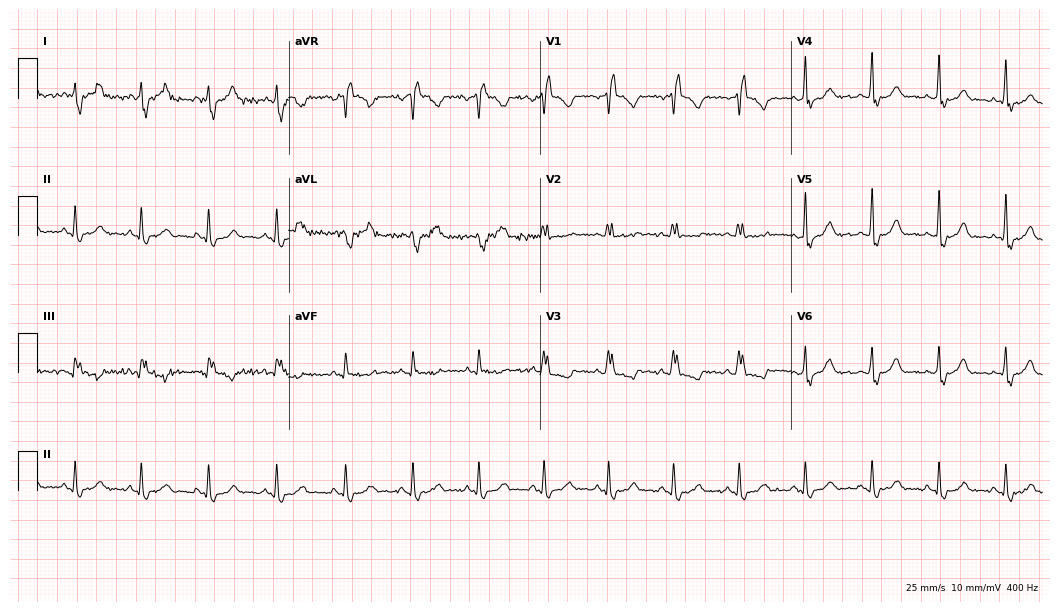
Electrocardiogram (10.2-second recording at 400 Hz), a 38-year-old female. Interpretation includes right bundle branch block (RBBB).